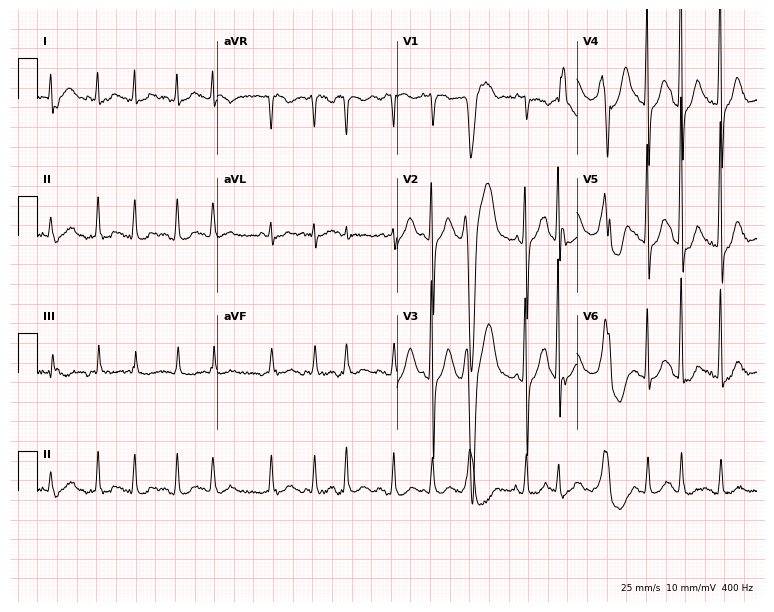
Resting 12-lead electrocardiogram. Patient: an 81-year-old male. None of these six findings is recorded: first-degree AV block, right bundle branch block, left bundle branch block, sinus bradycardia, atrial fibrillation, sinus tachycardia. Other findings, if any, are not listed.